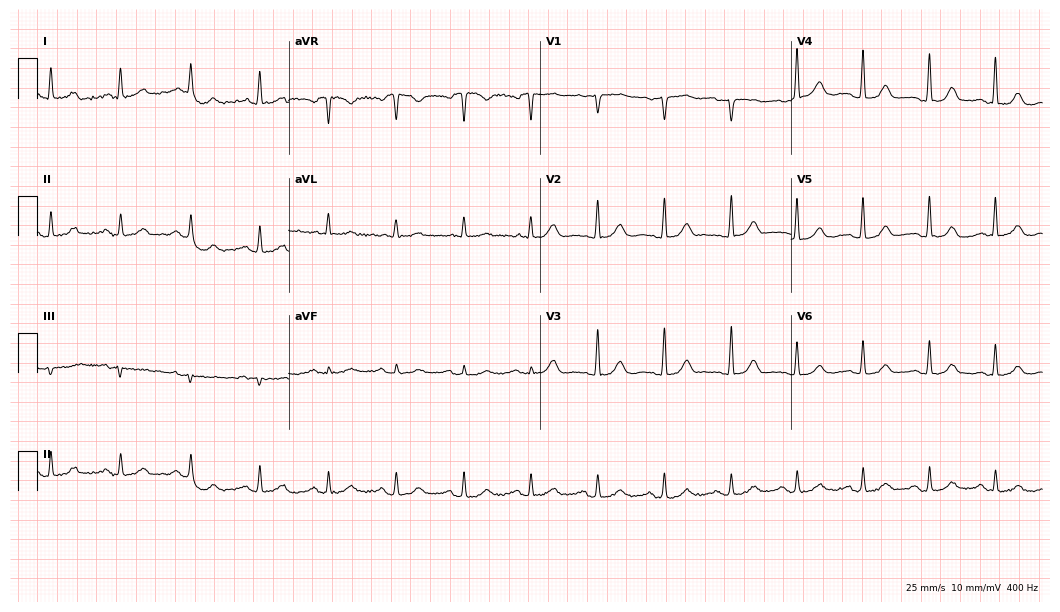
ECG (10.2-second recording at 400 Hz) — a 64-year-old female patient. Labelled as a normal ECG.